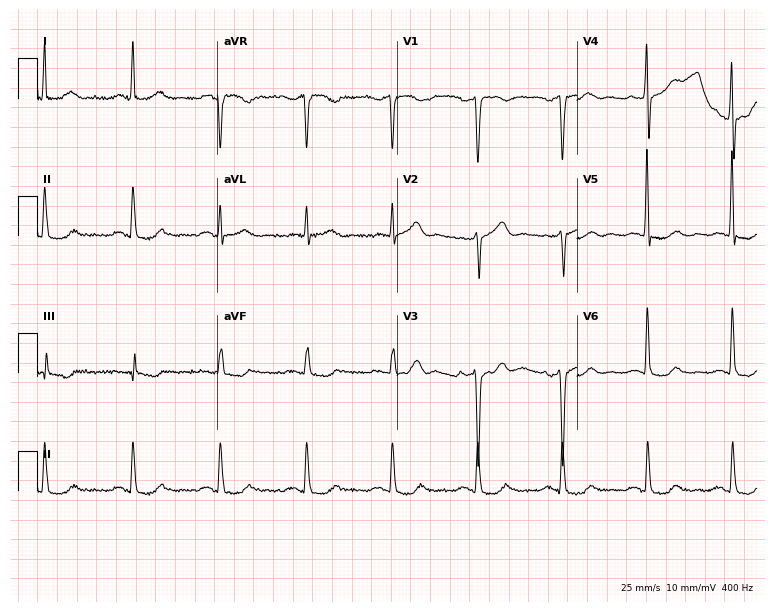
Resting 12-lead electrocardiogram. Patient: a 63-year-old male. None of these six findings is recorded: first-degree AV block, right bundle branch block (RBBB), left bundle branch block (LBBB), sinus bradycardia, atrial fibrillation (AF), sinus tachycardia. Only these six findings were labelled.